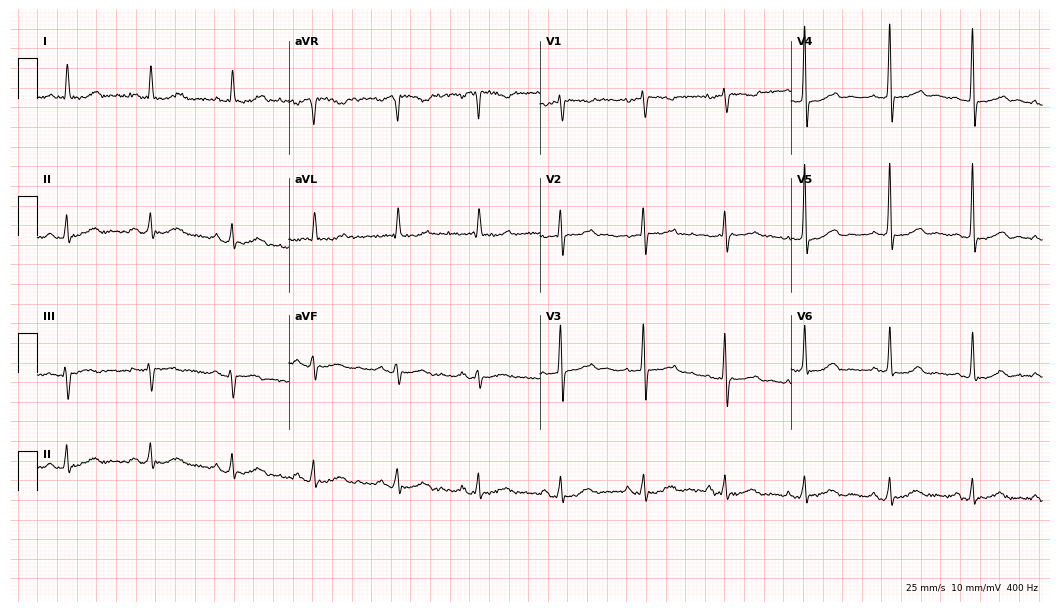
ECG (10.2-second recording at 400 Hz) — a 69-year-old woman. Labelled as a normal ECG.